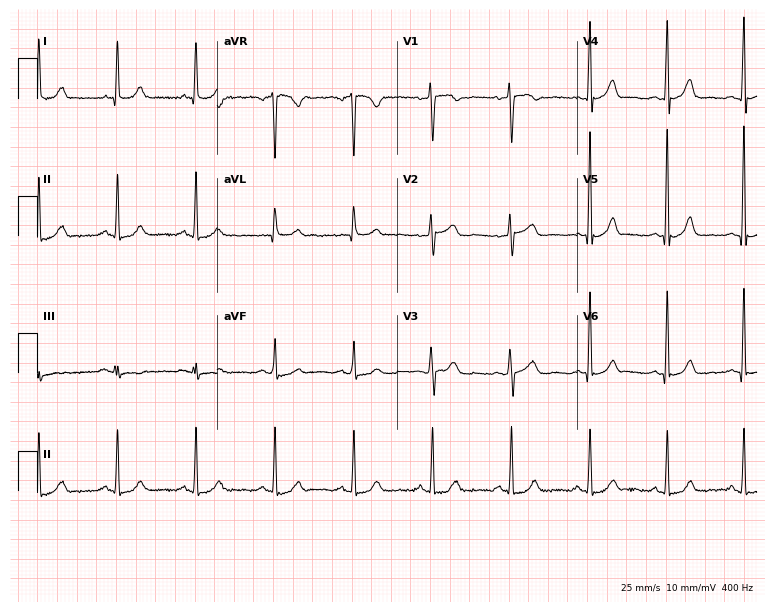
ECG (7.3-second recording at 400 Hz) — a 56-year-old woman. Labelled as a normal ECG.